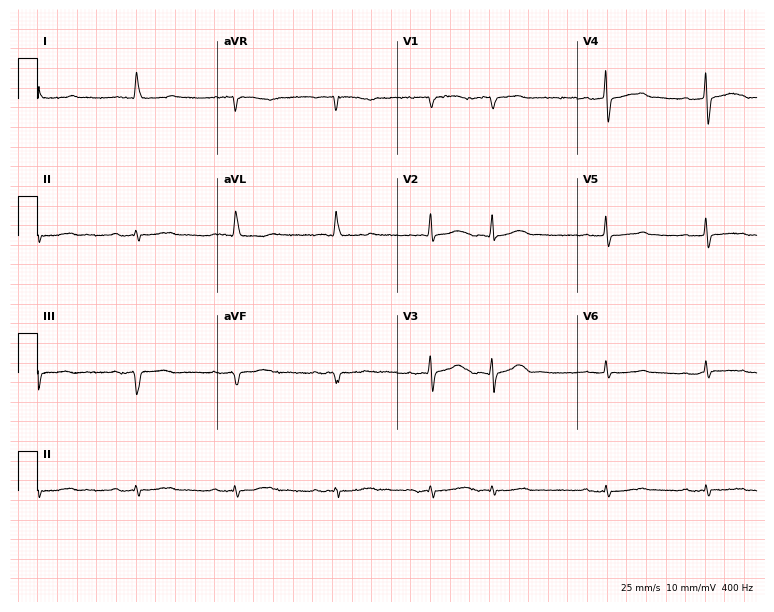
Resting 12-lead electrocardiogram. Patient: an 83-year-old female. None of these six findings is recorded: first-degree AV block, right bundle branch block, left bundle branch block, sinus bradycardia, atrial fibrillation, sinus tachycardia. Findings outside these six are not listed.